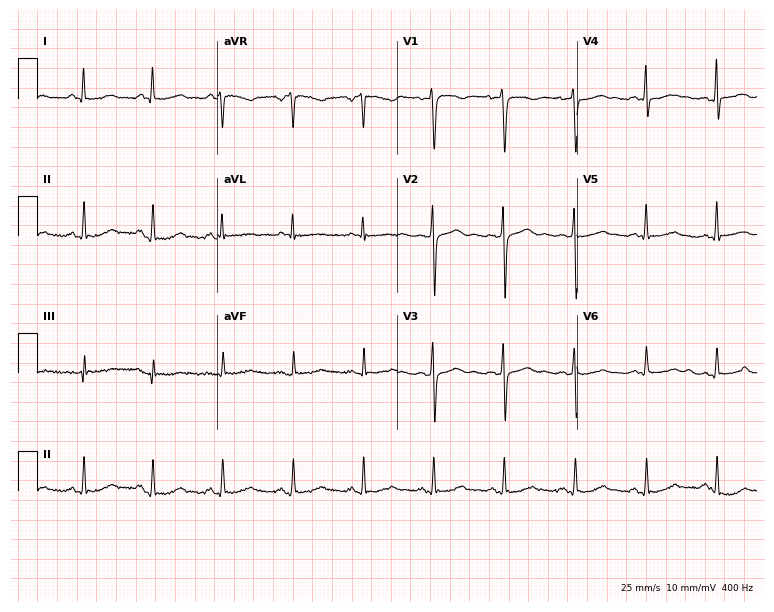
ECG — a 53-year-old female patient. Labelled as a normal ECG.